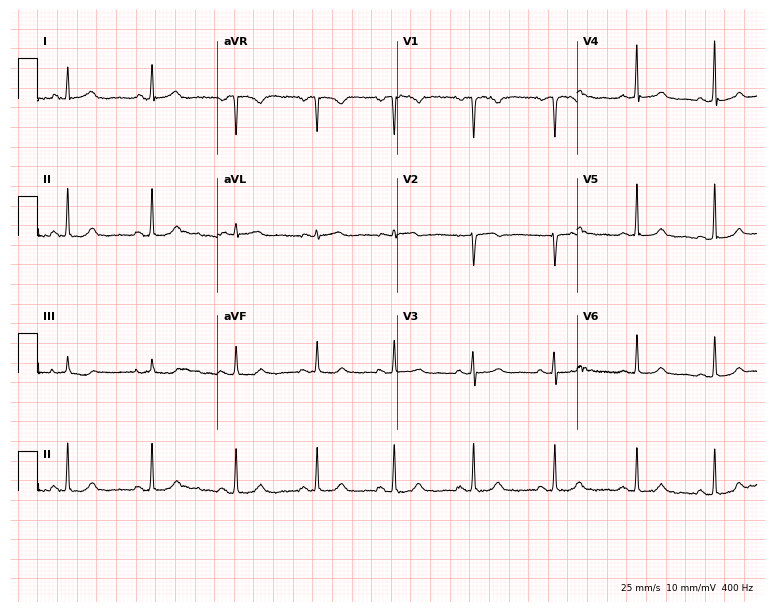
ECG (7.3-second recording at 400 Hz) — a female patient, 42 years old. Screened for six findings — first-degree AV block, right bundle branch block (RBBB), left bundle branch block (LBBB), sinus bradycardia, atrial fibrillation (AF), sinus tachycardia — none is recorded.